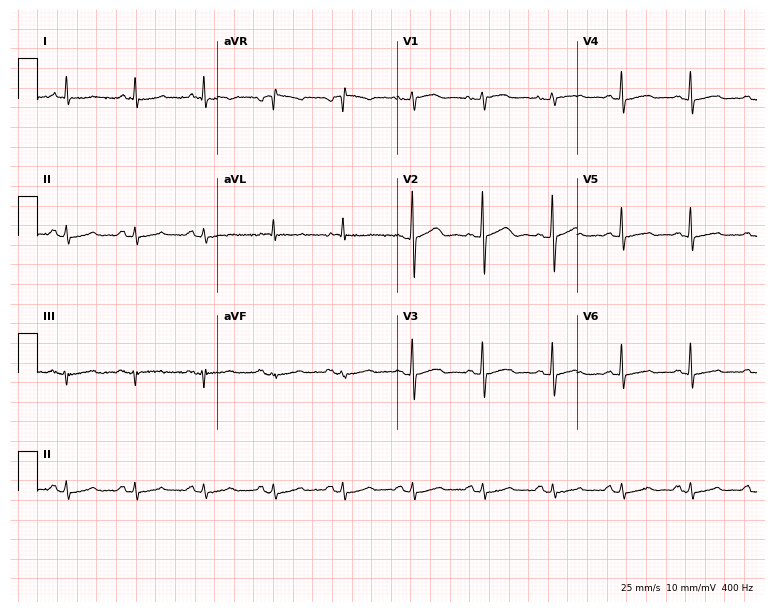
12-lead ECG from a woman, 72 years old. No first-degree AV block, right bundle branch block (RBBB), left bundle branch block (LBBB), sinus bradycardia, atrial fibrillation (AF) or sinus tachycardia recorded for this tracing. Findings outside these six are not listed.